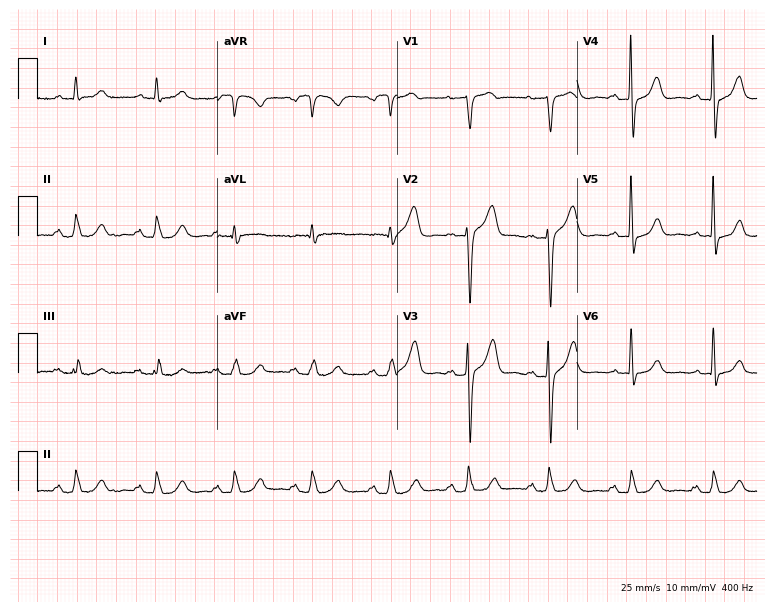
Electrocardiogram (7.3-second recording at 400 Hz), a male, 72 years old. Of the six screened findings (first-degree AV block, right bundle branch block, left bundle branch block, sinus bradycardia, atrial fibrillation, sinus tachycardia), none is recorded. Findings outside these six are not listed.